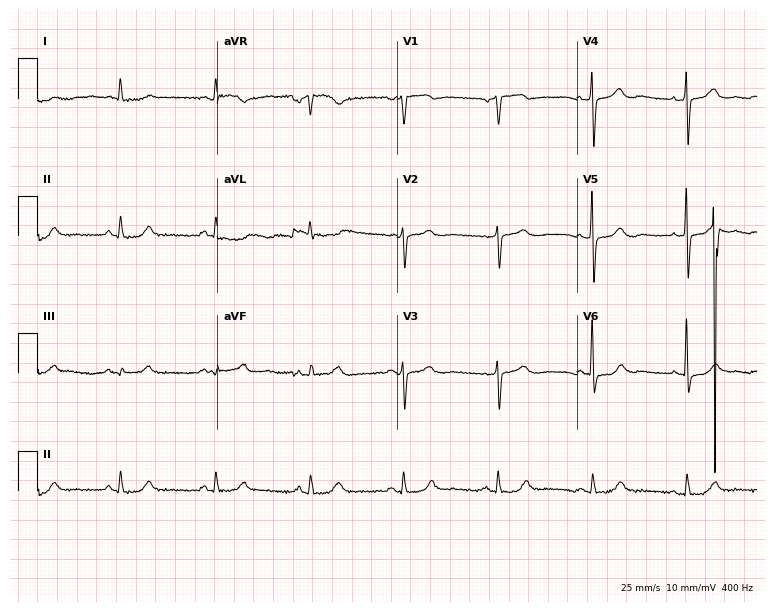
12-lead ECG from a male patient, 79 years old. No first-degree AV block, right bundle branch block, left bundle branch block, sinus bradycardia, atrial fibrillation or sinus tachycardia recorded for this tracing.